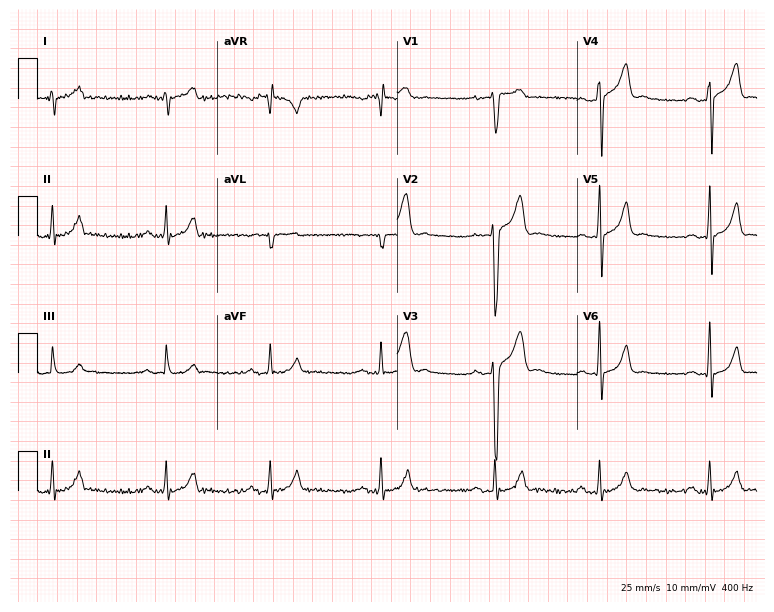
Standard 12-lead ECG recorded from a man, 40 years old (7.3-second recording at 400 Hz). None of these six findings is recorded: first-degree AV block, right bundle branch block, left bundle branch block, sinus bradycardia, atrial fibrillation, sinus tachycardia.